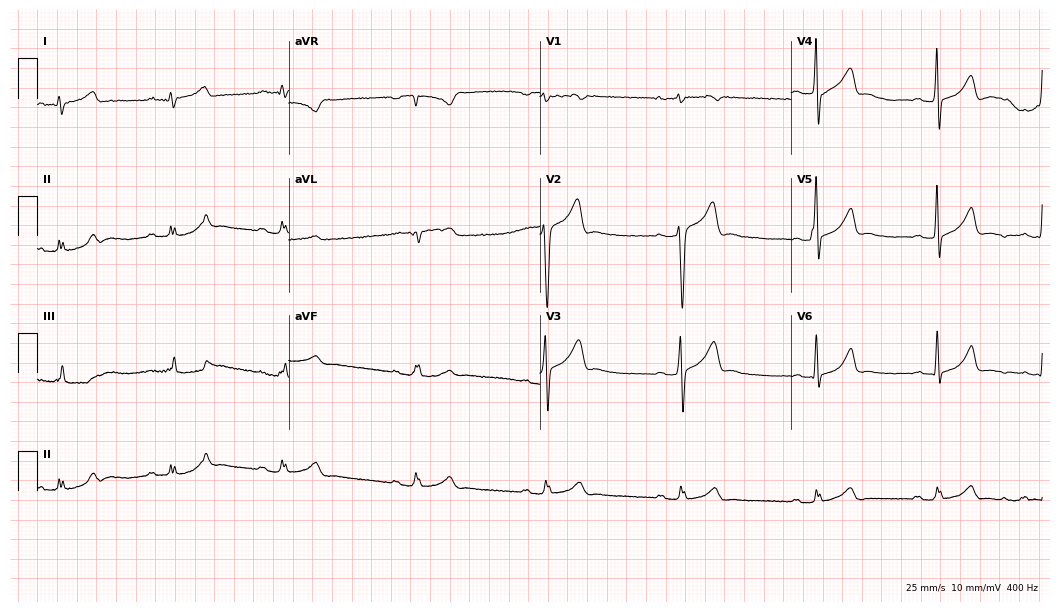
Electrocardiogram, a man, 28 years old. Interpretation includes sinus bradycardia (a sinus rate of 50 beats per minute or less).